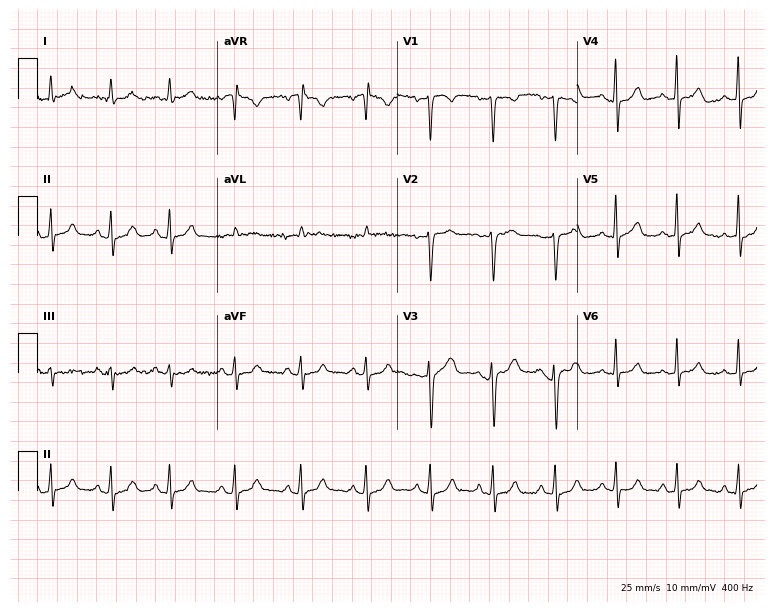
Electrocardiogram, a 26-year-old female patient. Overall reading on record: normal ECG.